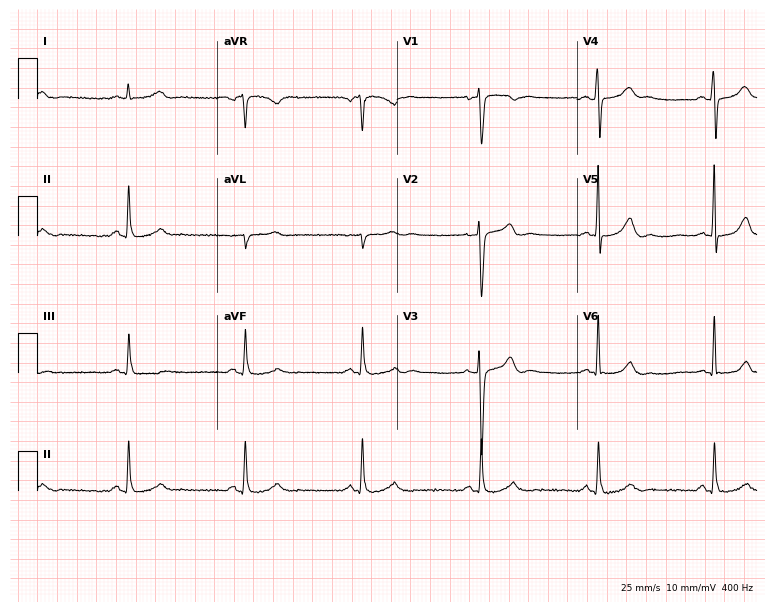
Resting 12-lead electrocardiogram. Patient: a male, 45 years old. The tracing shows sinus bradycardia (a sinus rate of 50 beats per minute or less).